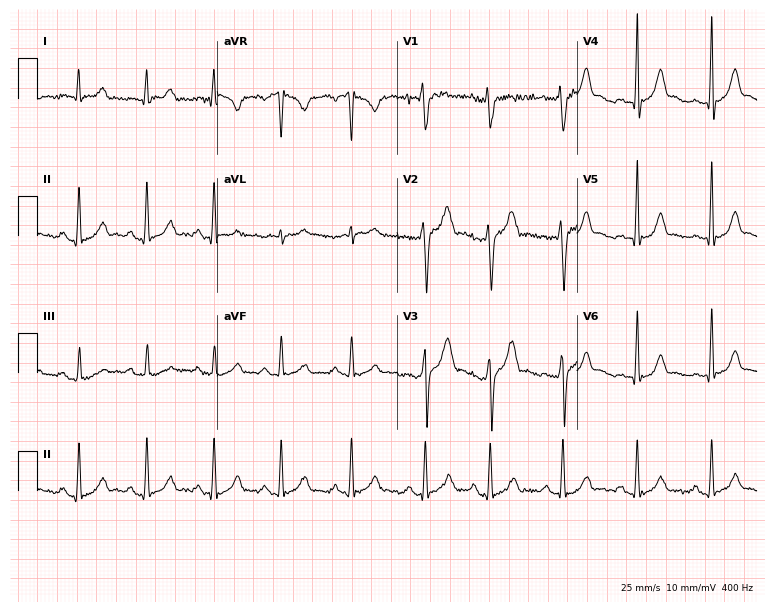
Standard 12-lead ECG recorded from a 24-year-old male patient (7.3-second recording at 400 Hz). Read as a normal ECG.